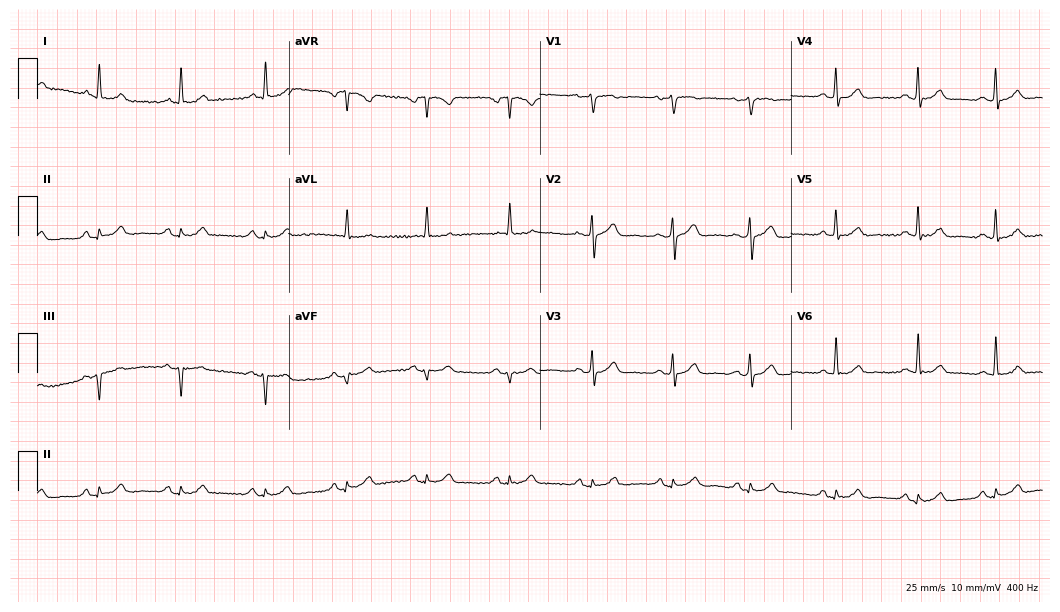
12-lead ECG (10.2-second recording at 400 Hz) from a 72-year-old male. Labelled as a normal ECG.